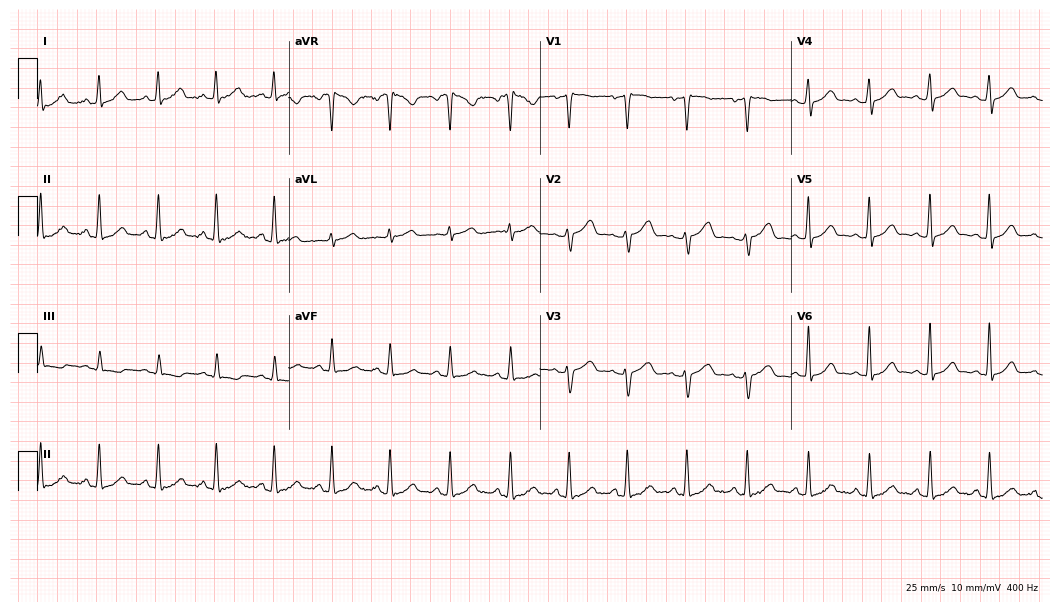
12-lead ECG from a female patient, 41 years old. Screened for six findings — first-degree AV block, right bundle branch block, left bundle branch block, sinus bradycardia, atrial fibrillation, sinus tachycardia — none is recorded. Only these six findings were labelled.